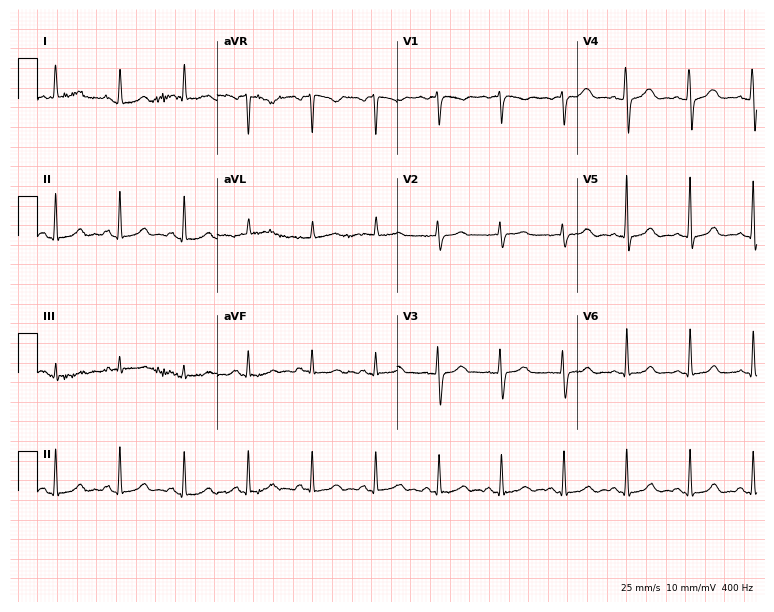
ECG — a woman, 45 years old. Labelled as a normal ECG.